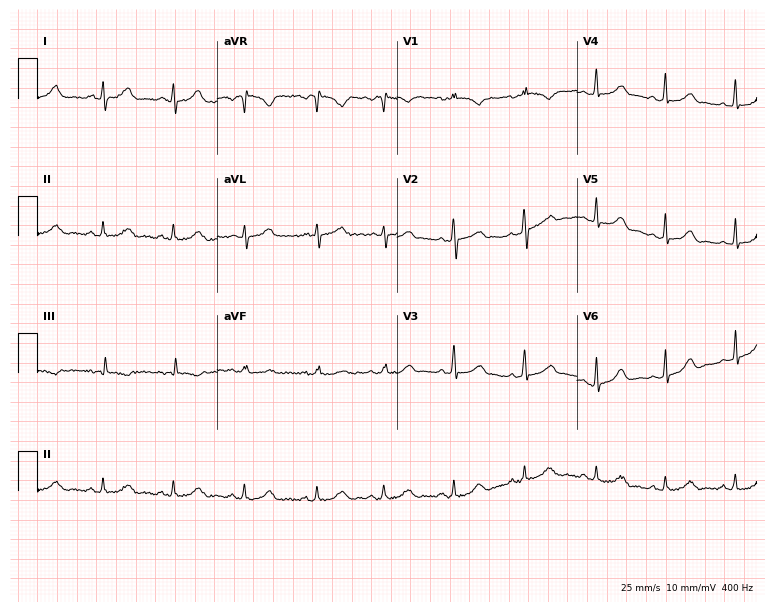
ECG (7.3-second recording at 400 Hz) — a 21-year-old woman. Screened for six findings — first-degree AV block, right bundle branch block, left bundle branch block, sinus bradycardia, atrial fibrillation, sinus tachycardia — none is recorded.